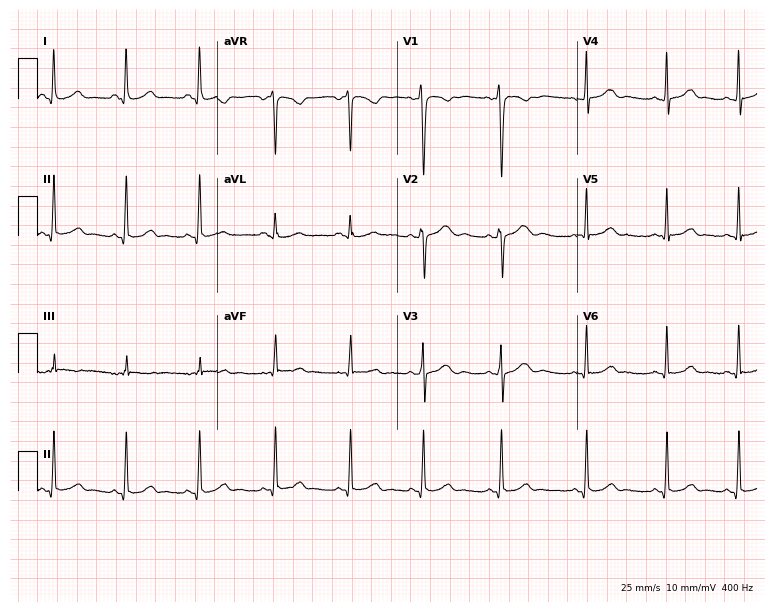
ECG — an 18-year-old woman. Labelled as a normal ECG.